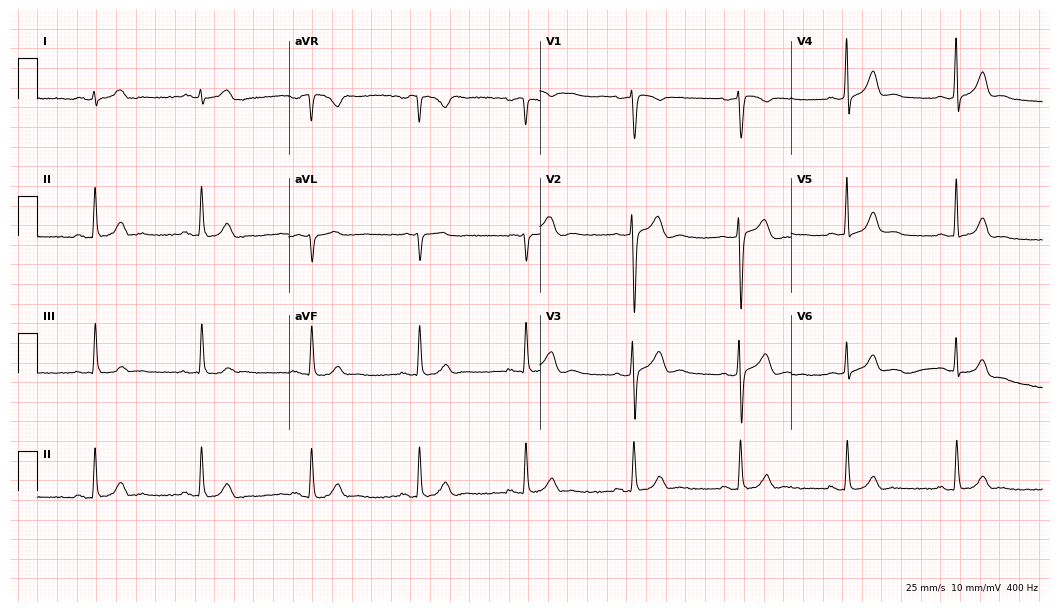
Standard 12-lead ECG recorded from a 46-year-old male (10.2-second recording at 400 Hz). Read as a normal ECG.